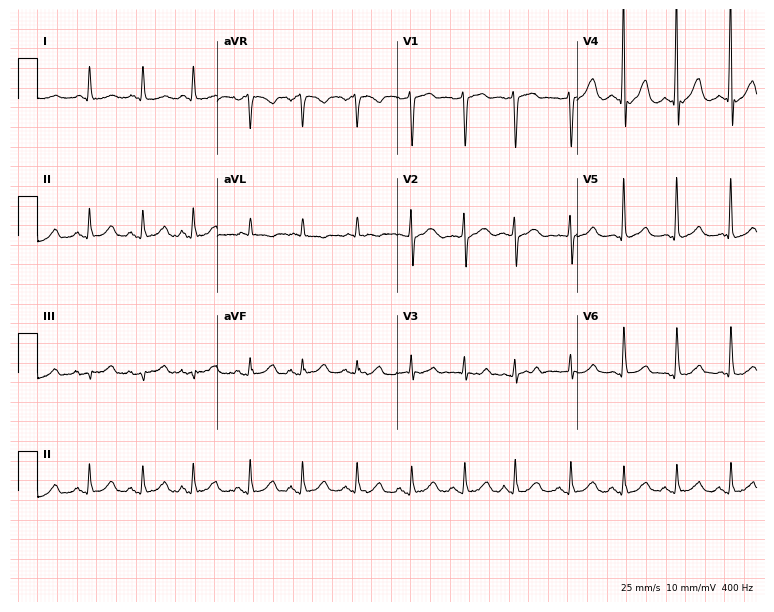
Standard 12-lead ECG recorded from a male patient, 79 years old (7.3-second recording at 400 Hz). The tracing shows sinus tachycardia (a sinus rate of 100 beats per minute or more).